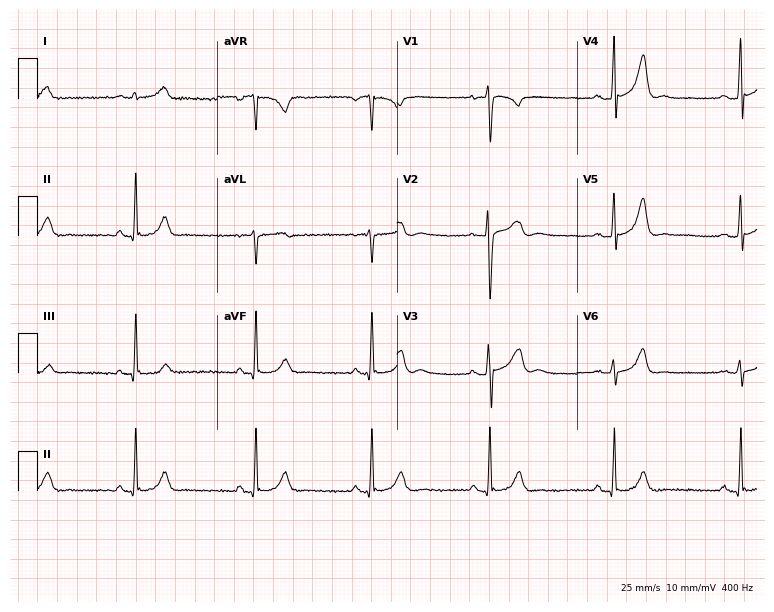
12-lead ECG from a male, 32 years old (7.3-second recording at 400 Hz). Shows sinus bradycardia (a sinus rate of 50 beats per minute or less).